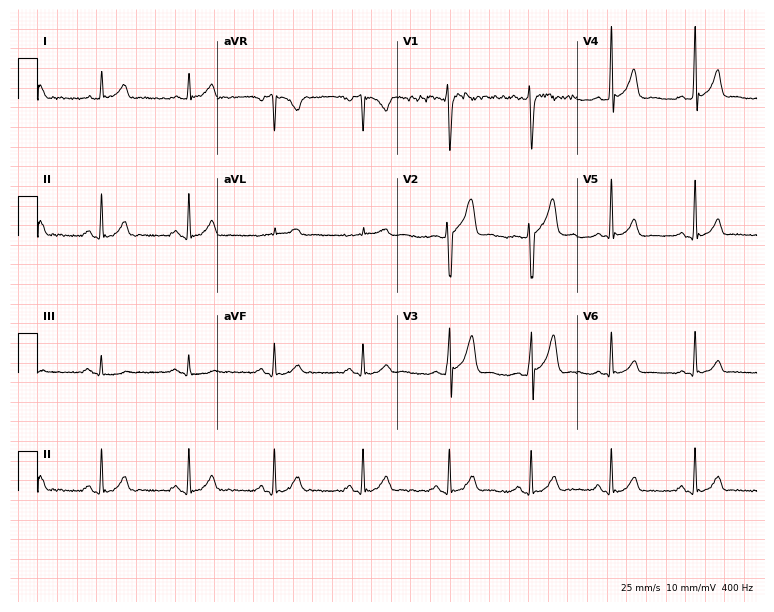
Electrocardiogram (7.3-second recording at 400 Hz), a male patient, 25 years old. Overall reading on record: normal ECG.